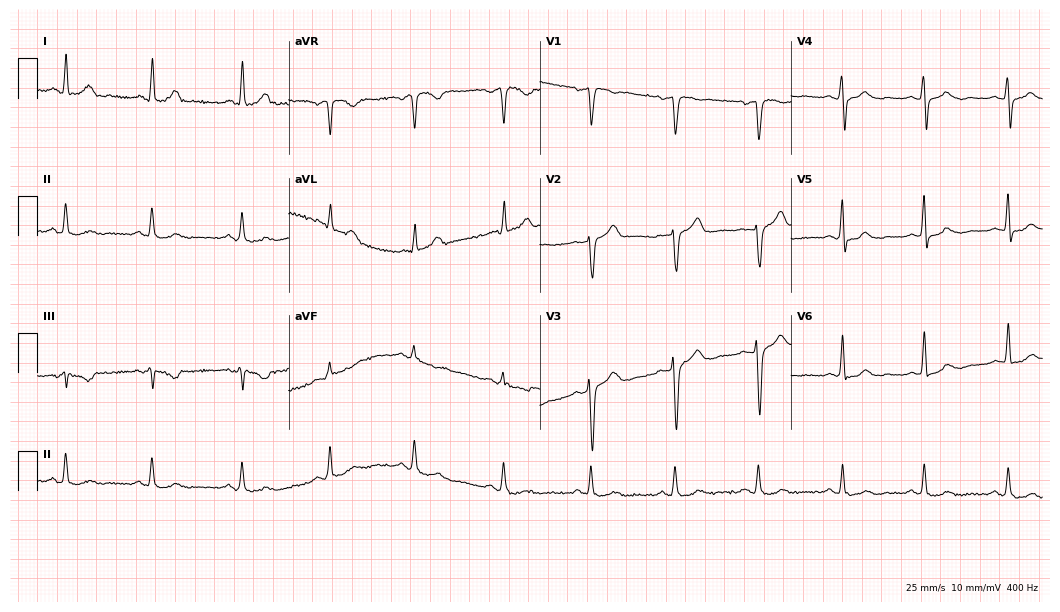
Electrocardiogram (10.2-second recording at 400 Hz), a 42-year-old female. Overall reading on record: normal ECG.